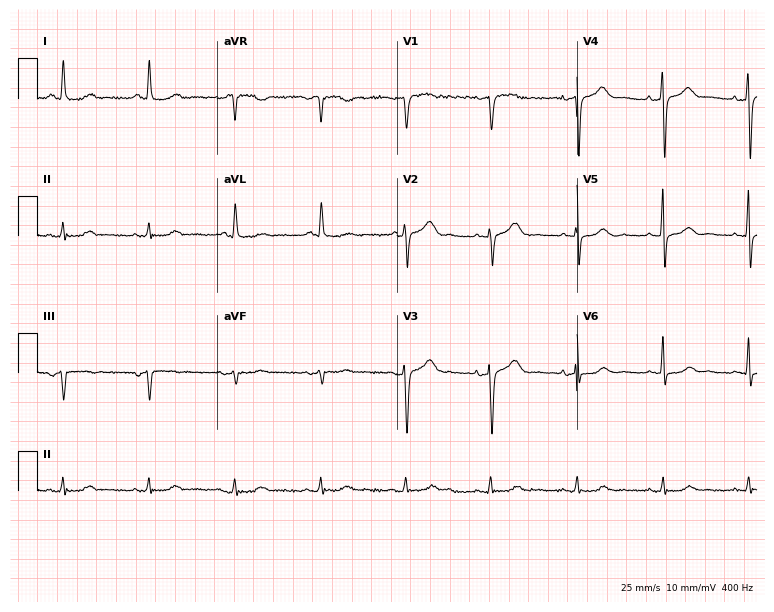
12-lead ECG from a female patient, 74 years old. Labelled as a normal ECG.